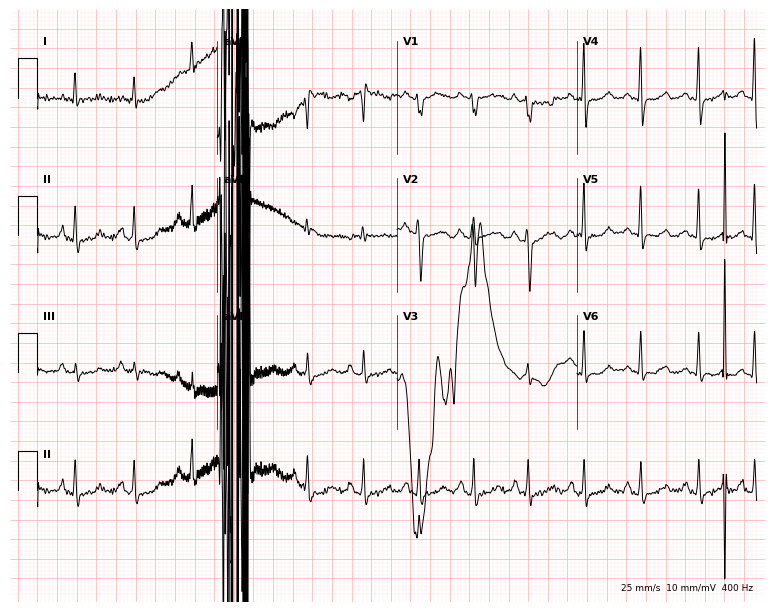
12-lead ECG from a 49-year-old female. Findings include sinus tachycardia (a sinus rate of 100 beats per minute or more).